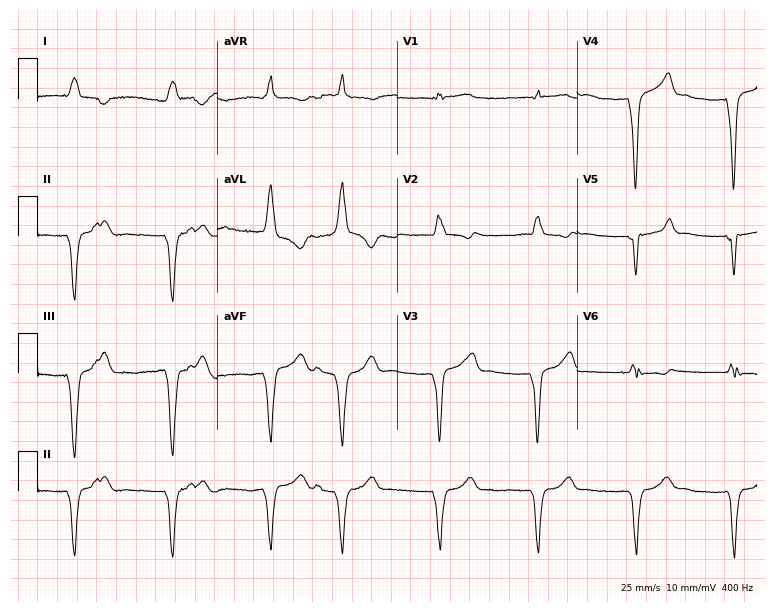
12-lead ECG from a male patient, 75 years old. No first-degree AV block, right bundle branch block, left bundle branch block, sinus bradycardia, atrial fibrillation or sinus tachycardia recorded for this tracing.